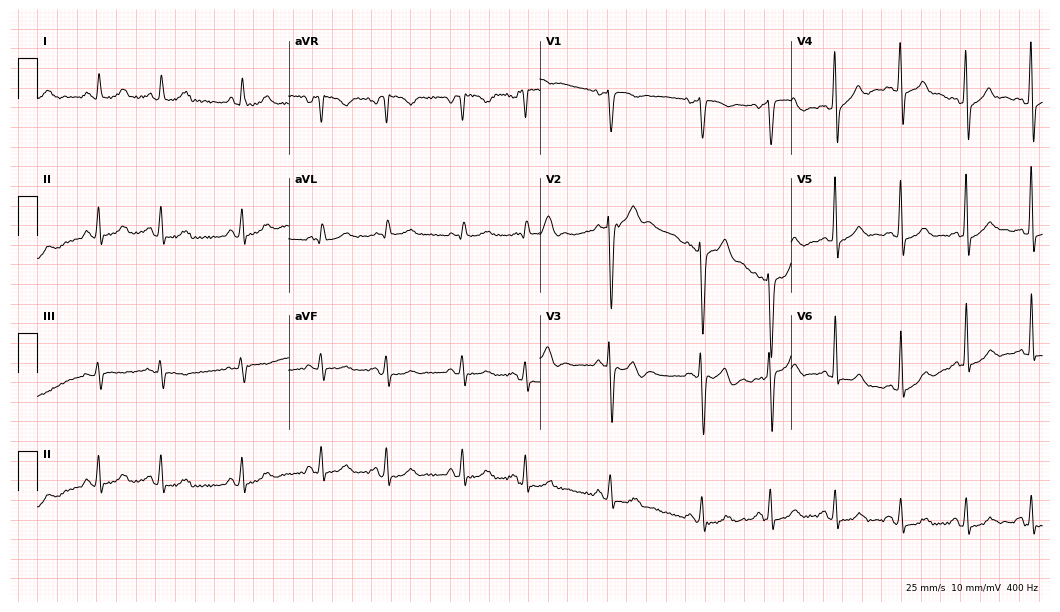
12-lead ECG (10.2-second recording at 400 Hz) from a 58-year-old man. Screened for six findings — first-degree AV block, right bundle branch block, left bundle branch block, sinus bradycardia, atrial fibrillation, sinus tachycardia — none is recorded.